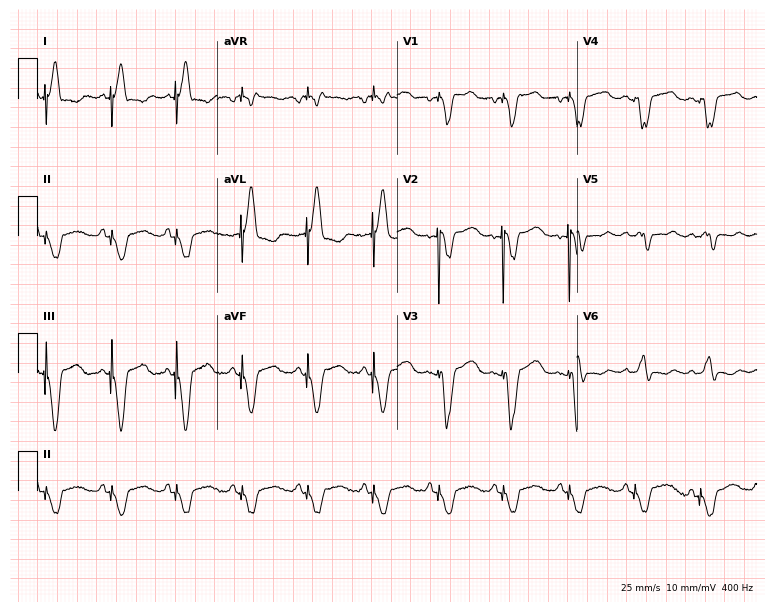
Resting 12-lead electrocardiogram (7.3-second recording at 400 Hz). Patient: a 61-year-old woman. None of these six findings is recorded: first-degree AV block, right bundle branch block, left bundle branch block, sinus bradycardia, atrial fibrillation, sinus tachycardia.